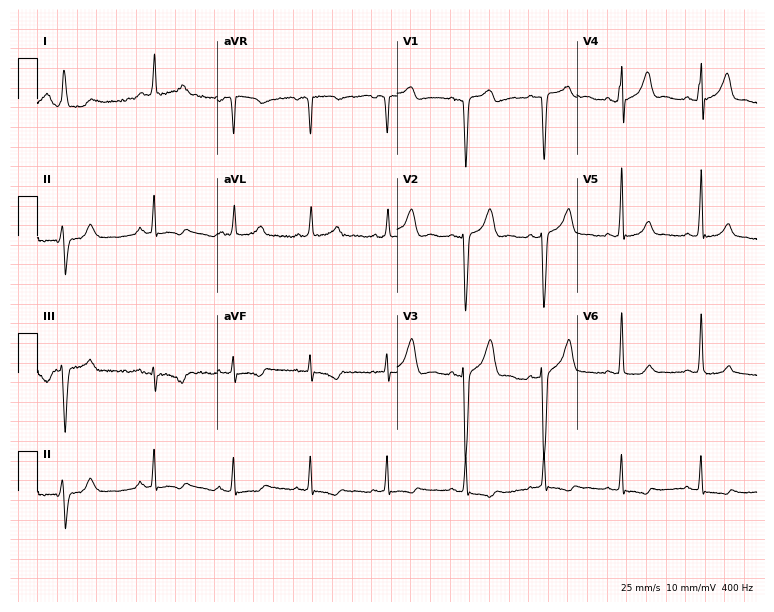
12-lead ECG (7.3-second recording at 400 Hz) from a 46-year-old male patient. Screened for six findings — first-degree AV block, right bundle branch block (RBBB), left bundle branch block (LBBB), sinus bradycardia, atrial fibrillation (AF), sinus tachycardia — none is recorded. Findings outside these six are not listed.